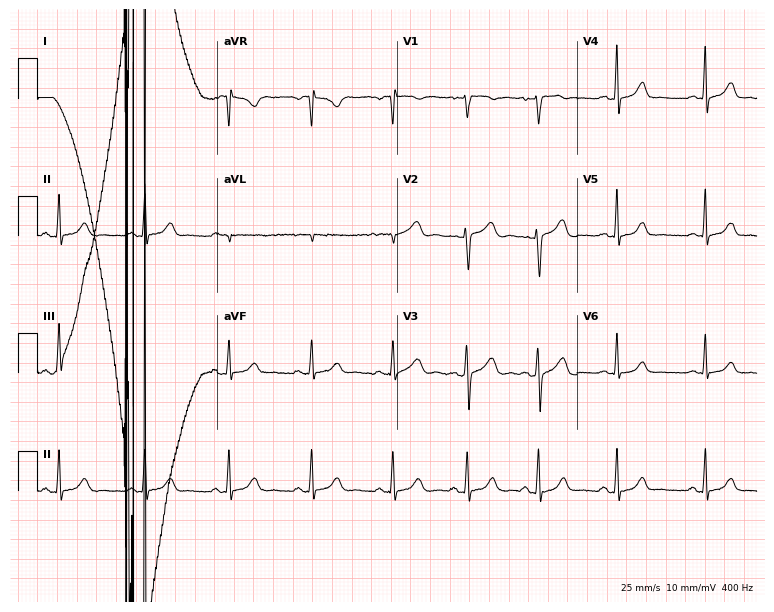
12-lead ECG from a female patient, 34 years old. Recorded interpretation: within normal limits.